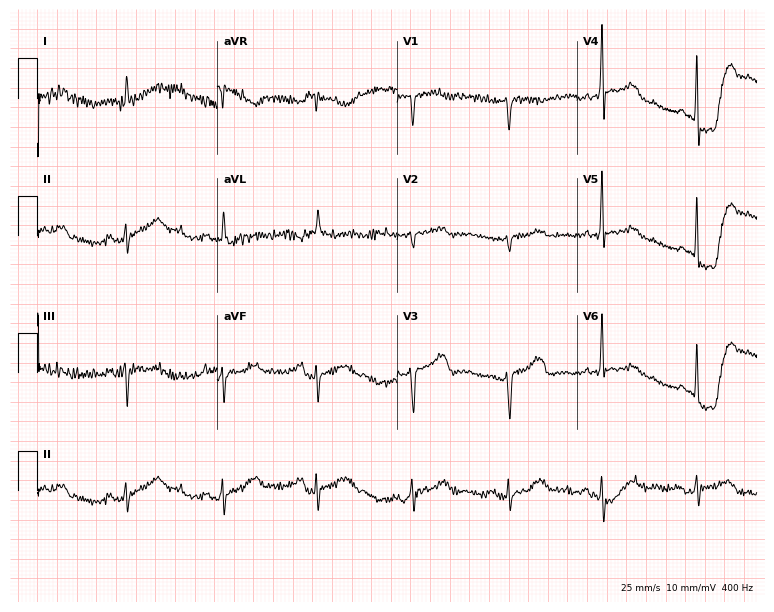
Resting 12-lead electrocardiogram. Patient: a woman, 81 years old. None of these six findings is recorded: first-degree AV block, right bundle branch block (RBBB), left bundle branch block (LBBB), sinus bradycardia, atrial fibrillation (AF), sinus tachycardia. Findings outside these six are not listed.